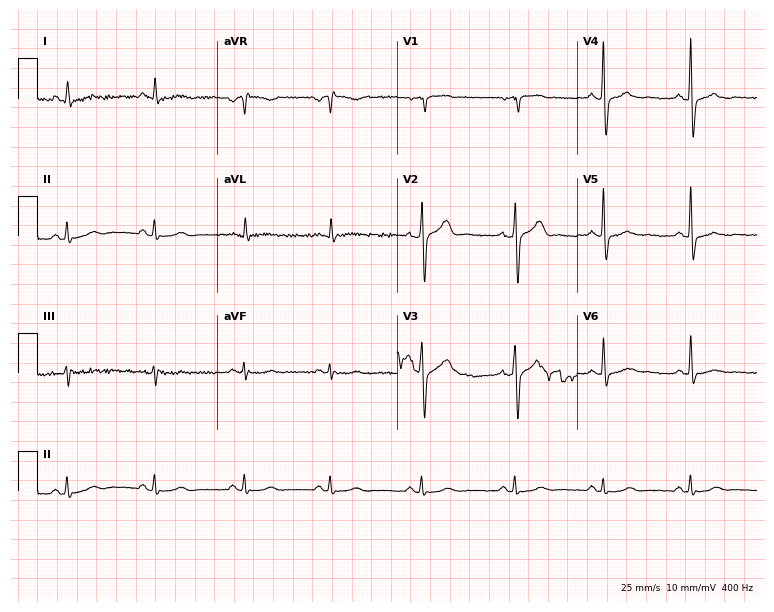
Standard 12-lead ECG recorded from a 62-year-old male patient. Read as a normal ECG.